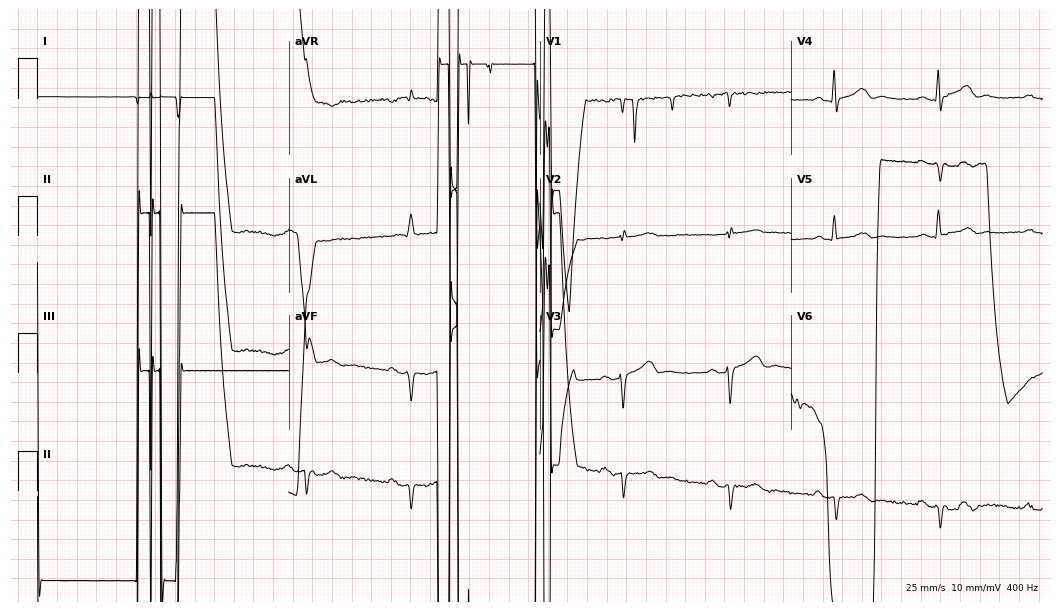
Standard 12-lead ECG recorded from a male, 67 years old. None of these six findings is recorded: first-degree AV block, right bundle branch block (RBBB), left bundle branch block (LBBB), sinus bradycardia, atrial fibrillation (AF), sinus tachycardia.